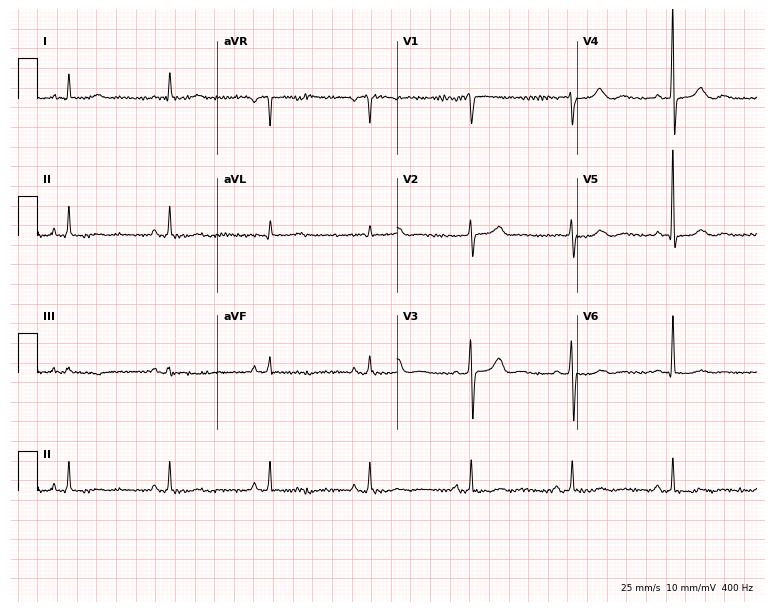
12-lead ECG from a man, 78 years old. Screened for six findings — first-degree AV block, right bundle branch block, left bundle branch block, sinus bradycardia, atrial fibrillation, sinus tachycardia — none is recorded. Findings outside these six are not listed.